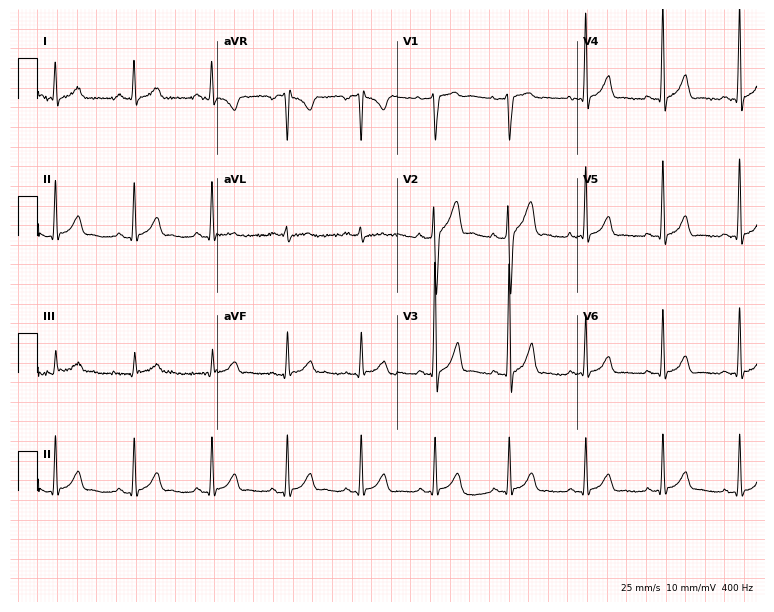
Electrocardiogram, a male, 45 years old. Overall reading on record: normal ECG.